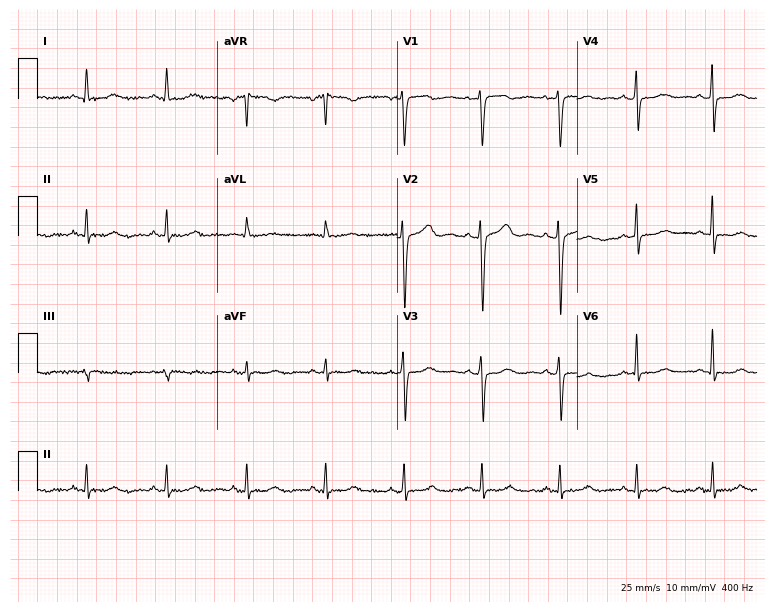
ECG (7.3-second recording at 400 Hz) — a female patient, 53 years old. Screened for six findings — first-degree AV block, right bundle branch block, left bundle branch block, sinus bradycardia, atrial fibrillation, sinus tachycardia — none is recorded. Only these six findings were labelled.